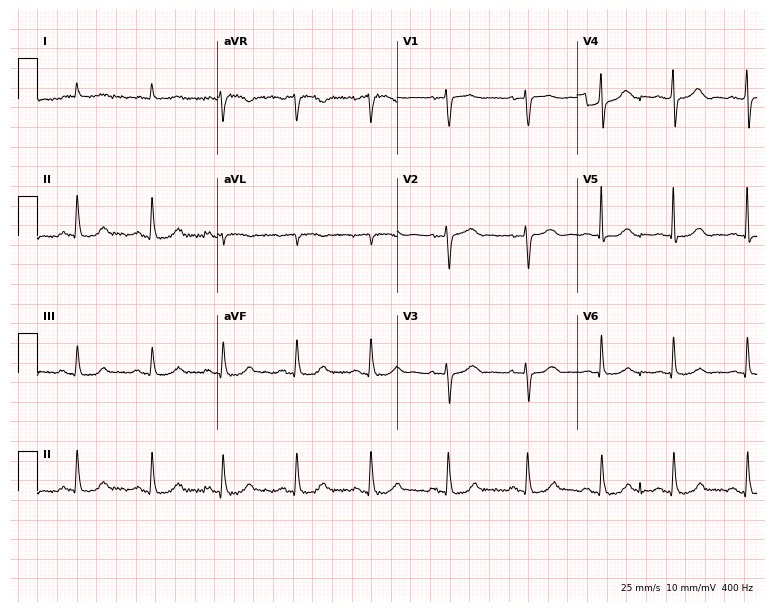
12-lead ECG from a female patient, 78 years old. Recorded interpretation: within normal limits.